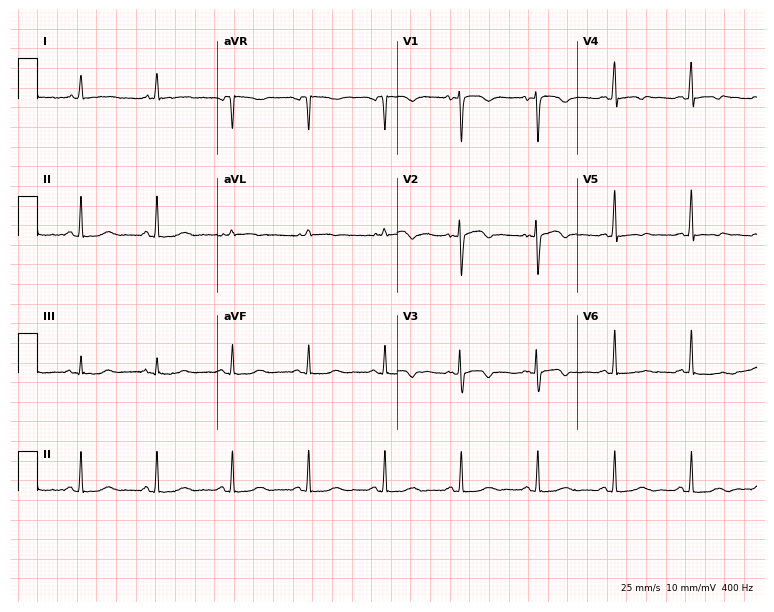
12-lead ECG from a female patient, 46 years old. Screened for six findings — first-degree AV block, right bundle branch block (RBBB), left bundle branch block (LBBB), sinus bradycardia, atrial fibrillation (AF), sinus tachycardia — none is recorded.